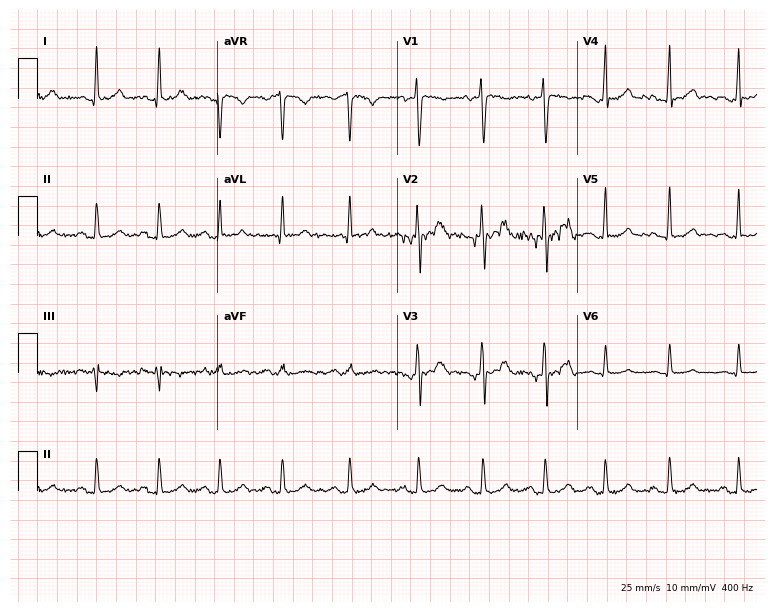
12-lead ECG from a male, 22 years old (7.3-second recording at 400 Hz). Recorded interpretation: within normal limits.